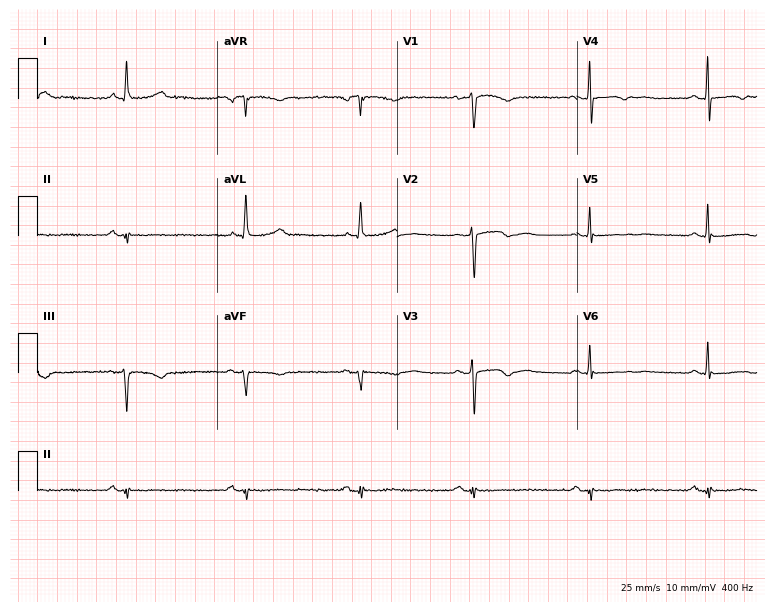
Resting 12-lead electrocardiogram. Patient: a female, 66 years old. The tracing shows sinus bradycardia (a sinus rate of 50 beats per minute or less).